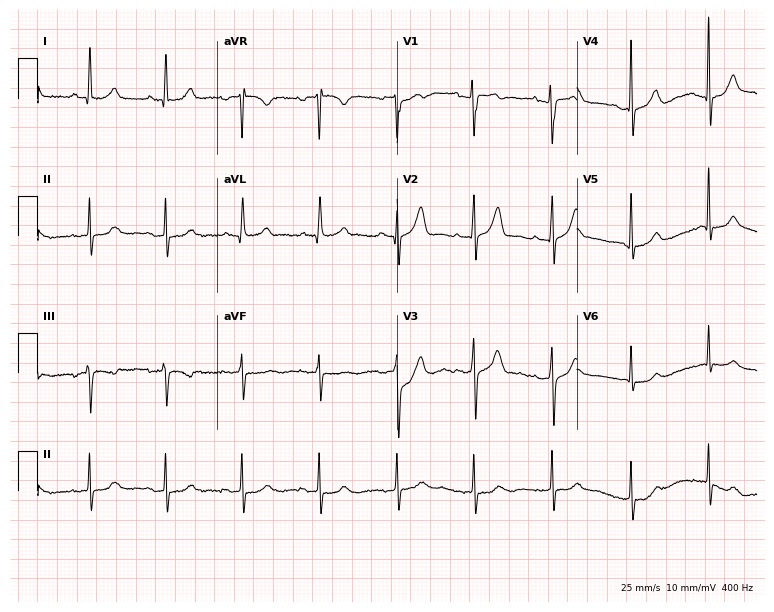
Resting 12-lead electrocardiogram (7.3-second recording at 400 Hz). Patient: a female, 63 years old. Read as a normal ECG.